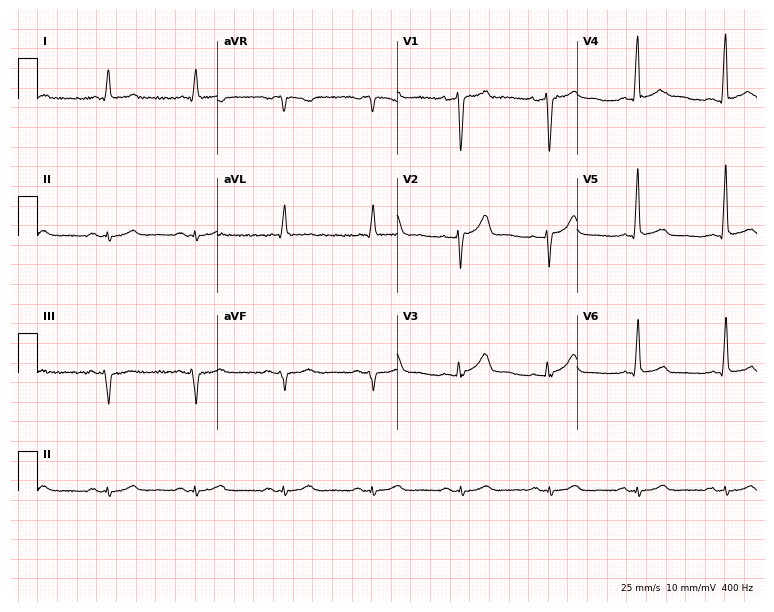
12-lead ECG from a 41-year-old male patient. Screened for six findings — first-degree AV block, right bundle branch block, left bundle branch block, sinus bradycardia, atrial fibrillation, sinus tachycardia — none is recorded.